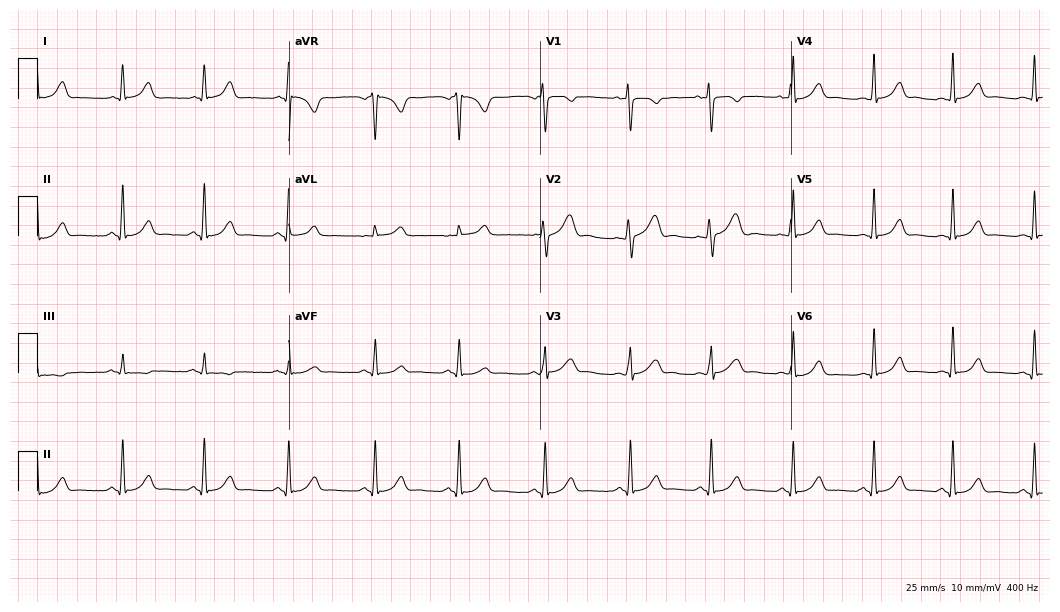
Standard 12-lead ECG recorded from a female, 26 years old (10.2-second recording at 400 Hz). Read as a normal ECG.